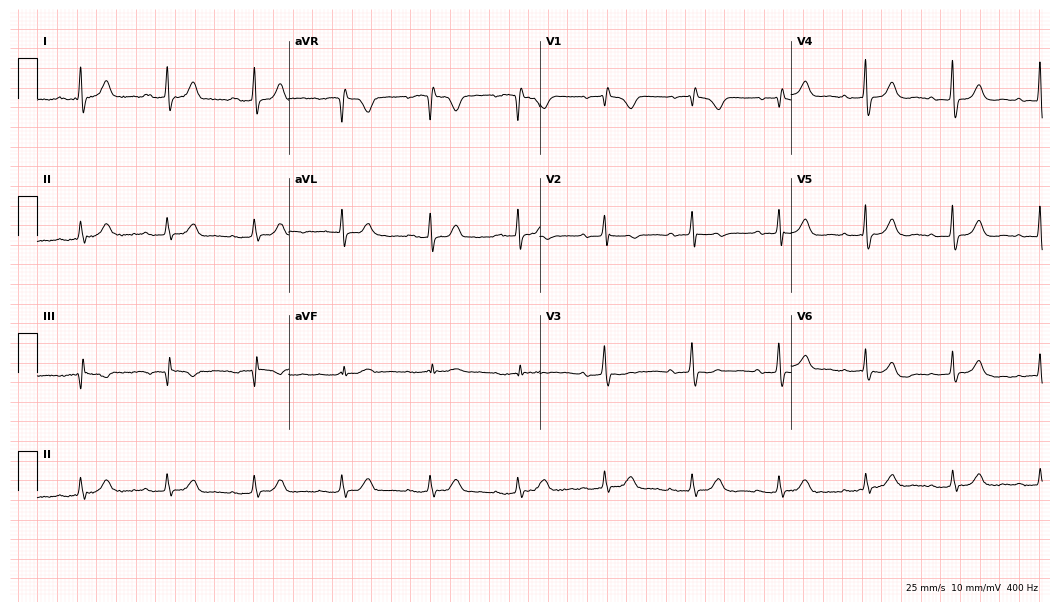
Resting 12-lead electrocardiogram (10.2-second recording at 400 Hz). Patient: a female, 83 years old. None of these six findings is recorded: first-degree AV block, right bundle branch block, left bundle branch block, sinus bradycardia, atrial fibrillation, sinus tachycardia.